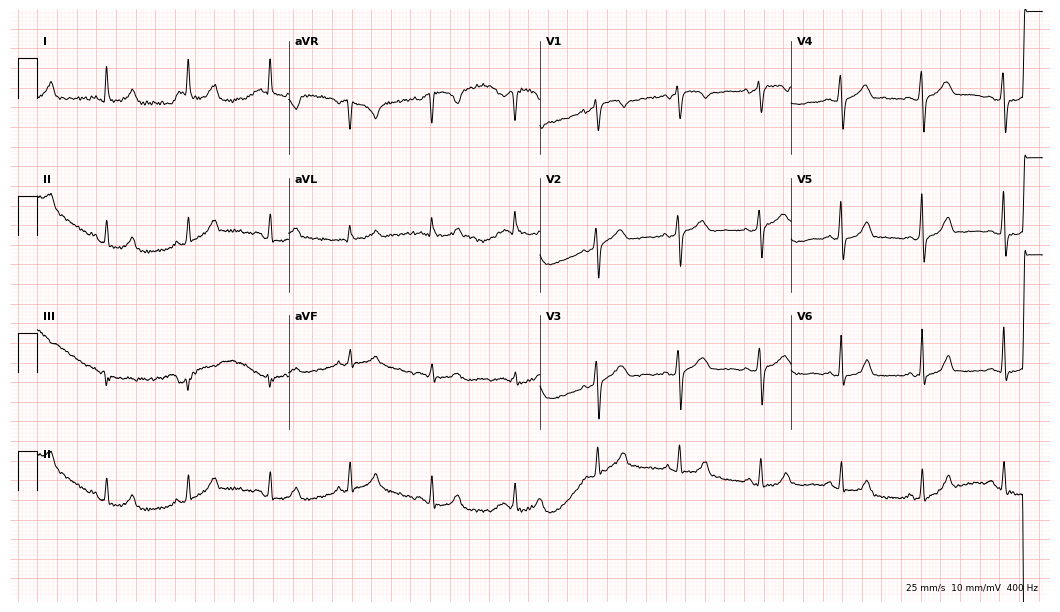
12-lead ECG from a 51-year-old female patient (10.2-second recording at 400 Hz). No first-degree AV block, right bundle branch block, left bundle branch block, sinus bradycardia, atrial fibrillation or sinus tachycardia recorded for this tracing.